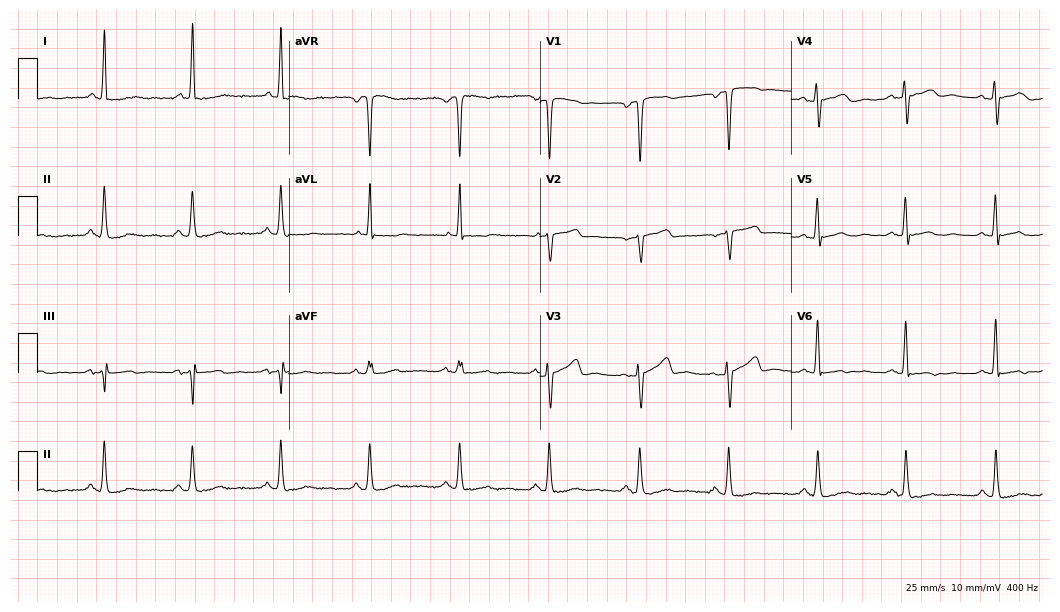
12-lead ECG from a female patient, 49 years old. Screened for six findings — first-degree AV block, right bundle branch block (RBBB), left bundle branch block (LBBB), sinus bradycardia, atrial fibrillation (AF), sinus tachycardia — none is recorded. Findings outside these six are not listed.